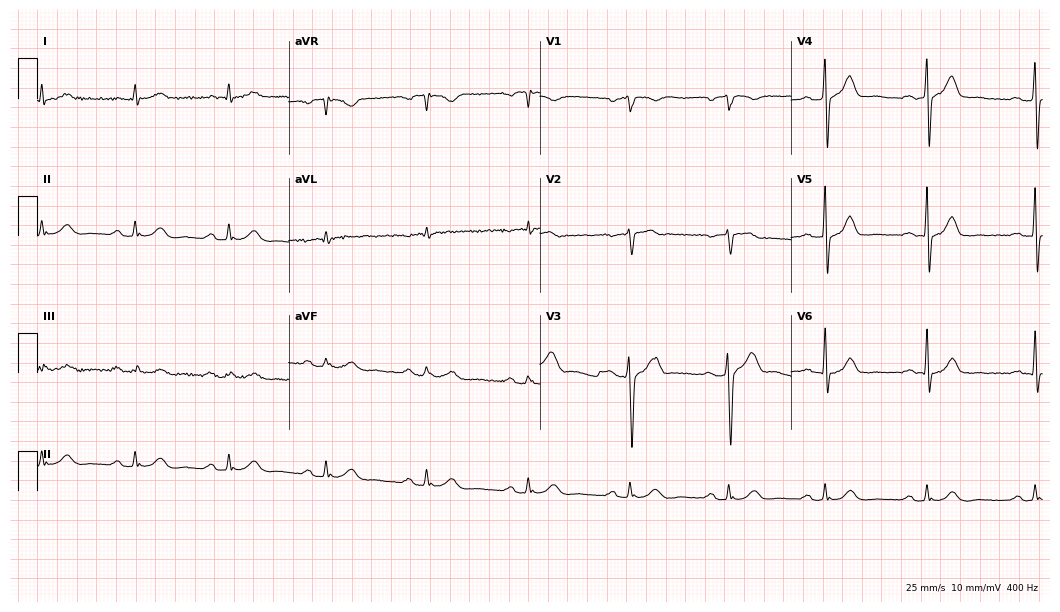
Electrocardiogram, a 66-year-old male. Interpretation includes first-degree AV block.